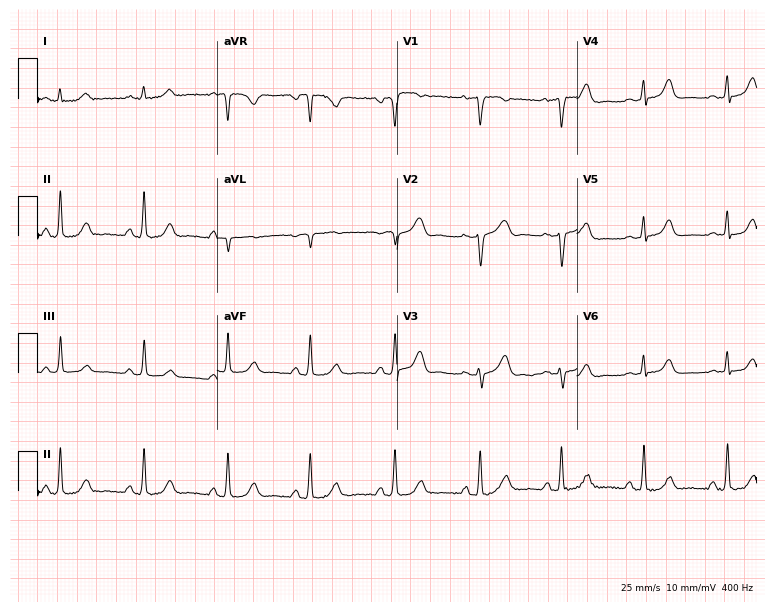
12-lead ECG (7.3-second recording at 400 Hz) from a female patient, 45 years old. Screened for six findings — first-degree AV block, right bundle branch block, left bundle branch block, sinus bradycardia, atrial fibrillation, sinus tachycardia — none is recorded. Only these six findings were labelled.